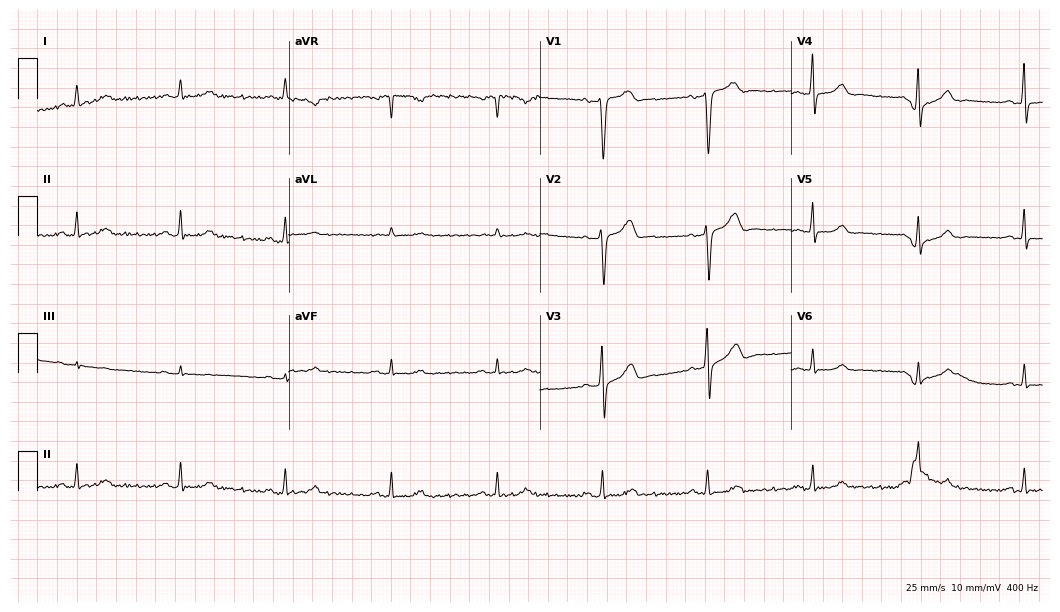
Resting 12-lead electrocardiogram. Patient: a male, 61 years old. Read as a normal ECG.